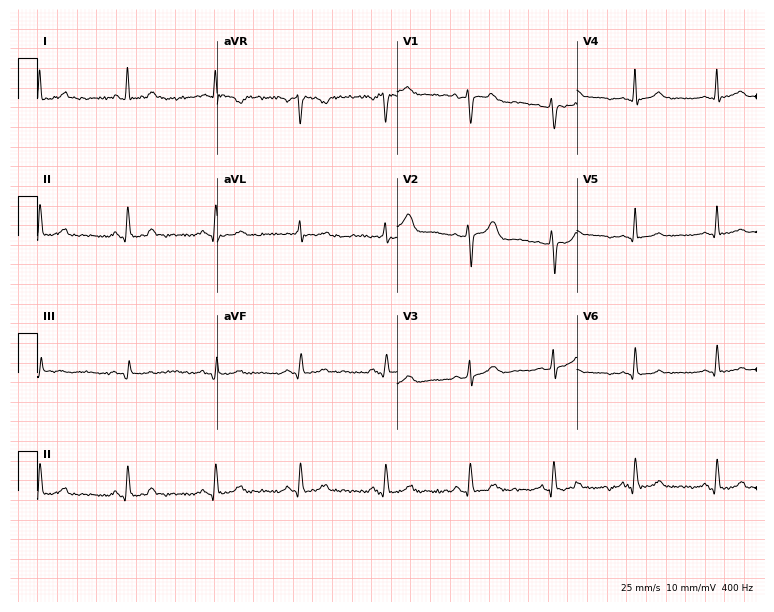
12-lead ECG from a 50-year-old female. Screened for six findings — first-degree AV block, right bundle branch block (RBBB), left bundle branch block (LBBB), sinus bradycardia, atrial fibrillation (AF), sinus tachycardia — none is recorded.